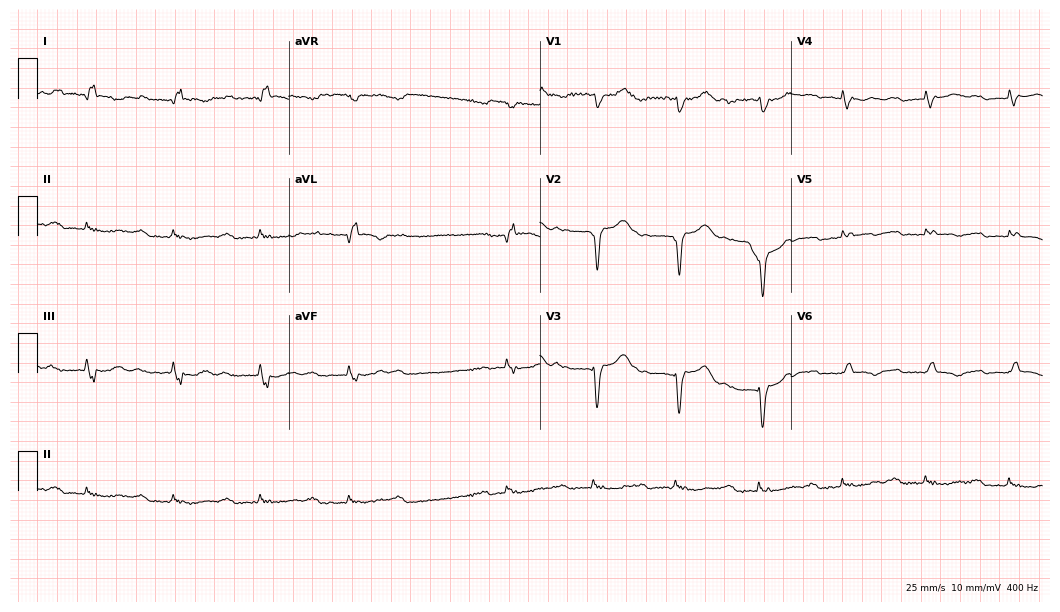
12-lead ECG from a 76-year-old man. Shows first-degree AV block, left bundle branch block (LBBB), atrial fibrillation (AF).